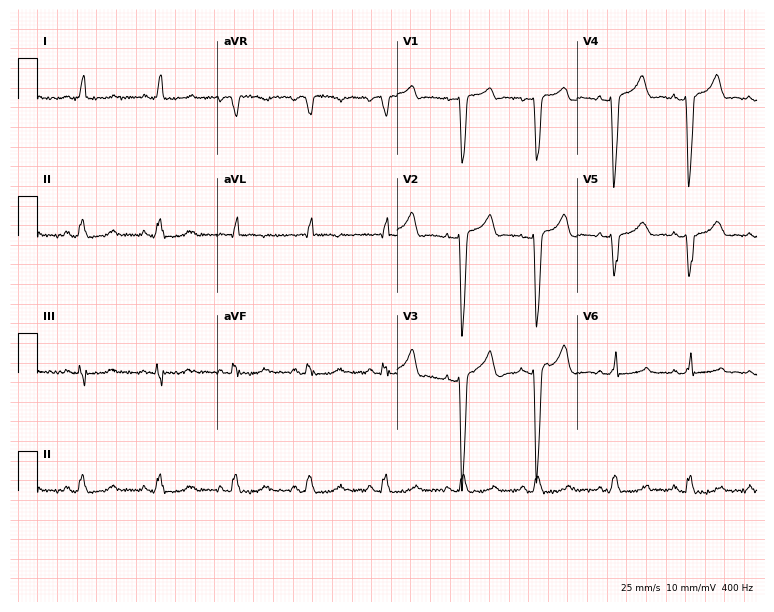
ECG — a 50-year-old female patient. Screened for six findings — first-degree AV block, right bundle branch block, left bundle branch block, sinus bradycardia, atrial fibrillation, sinus tachycardia — none is recorded.